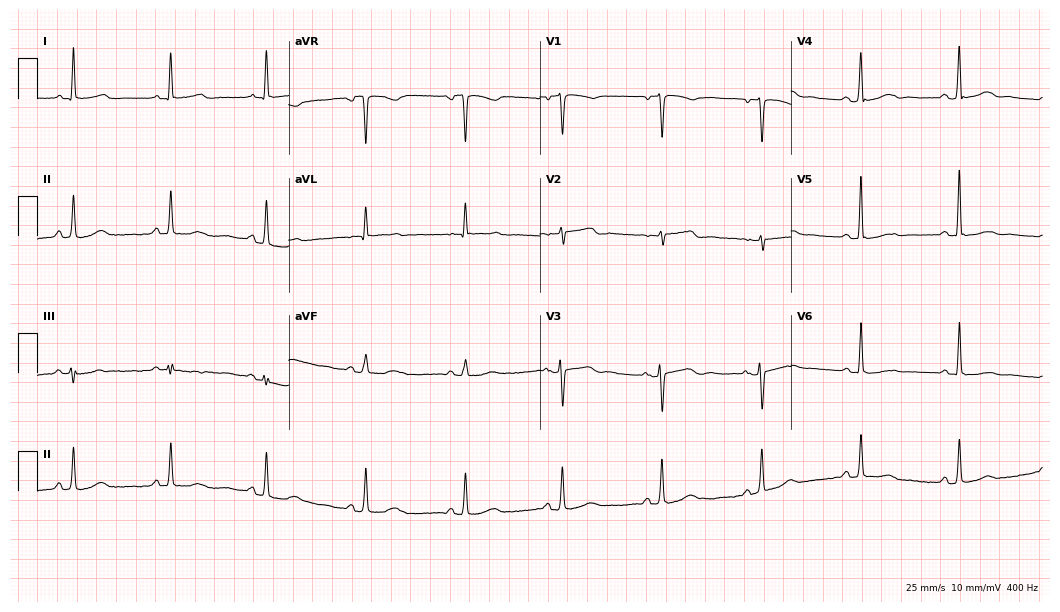
12-lead ECG from a 60-year-old woman. Recorded interpretation: within normal limits.